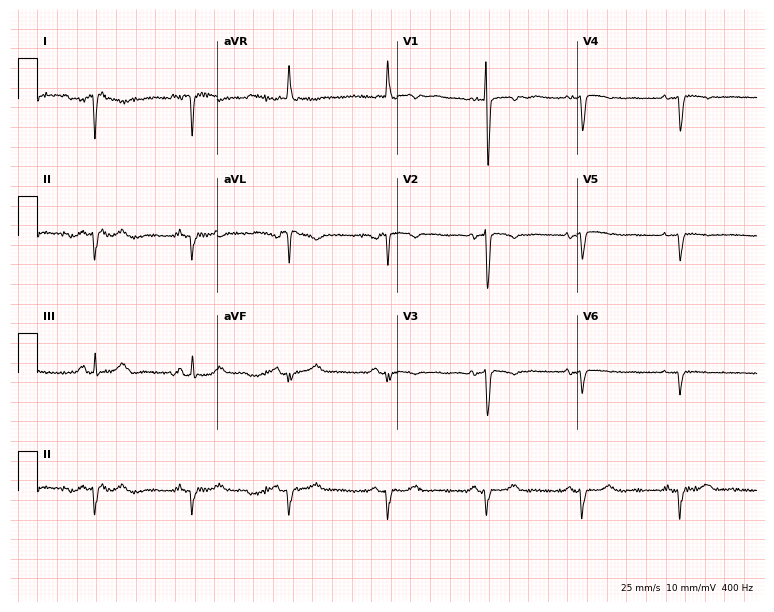
ECG (7.3-second recording at 400 Hz) — a 74-year-old female patient. Screened for six findings — first-degree AV block, right bundle branch block (RBBB), left bundle branch block (LBBB), sinus bradycardia, atrial fibrillation (AF), sinus tachycardia — none is recorded.